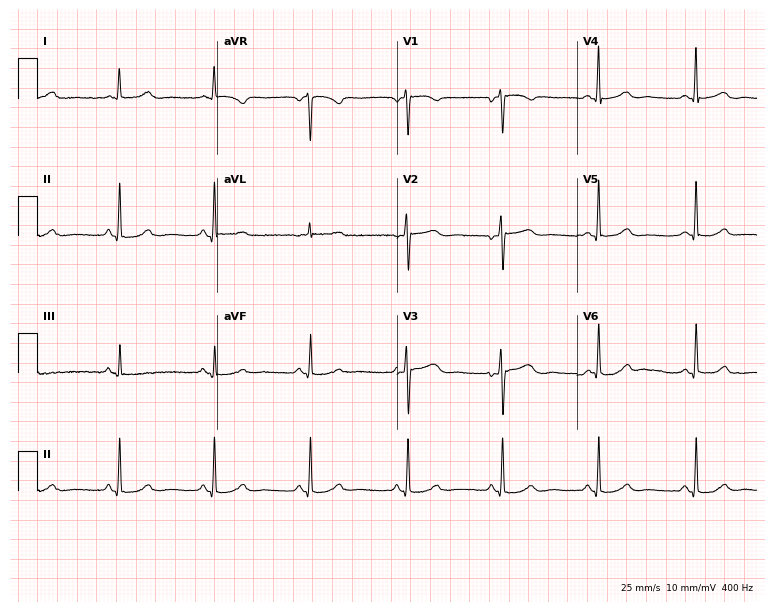
12-lead ECG from a woman, 77 years old. Recorded interpretation: within normal limits.